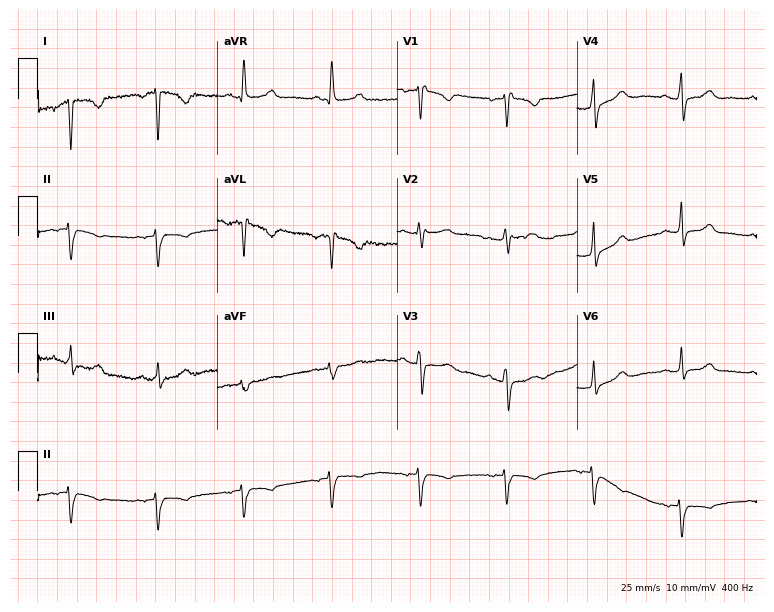
Standard 12-lead ECG recorded from a woman, 59 years old (7.3-second recording at 400 Hz). None of these six findings is recorded: first-degree AV block, right bundle branch block, left bundle branch block, sinus bradycardia, atrial fibrillation, sinus tachycardia.